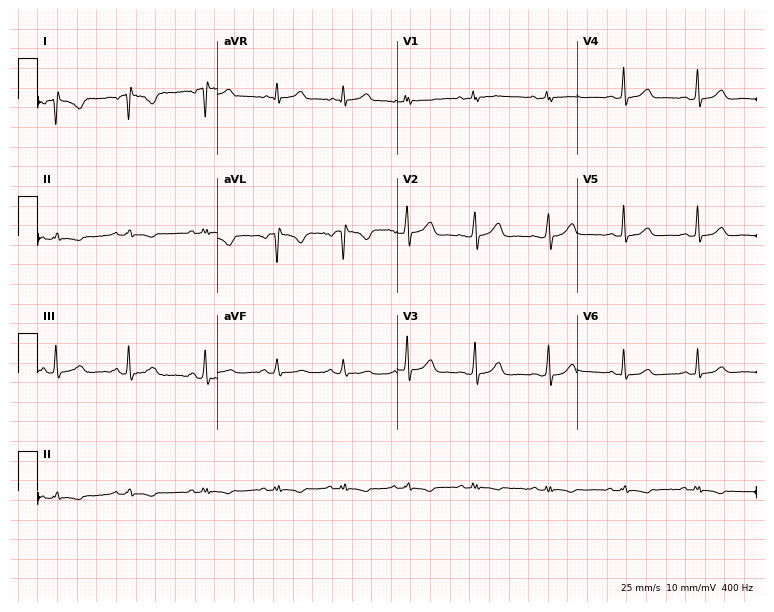
12-lead ECG (7.3-second recording at 400 Hz) from a female, 33 years old. Screened for six findings — first-degree AV block, right bundle branch block, left bundle branch block, sinus bradycardia, atrial fibrillation, sinus tachycardia — none is recorded.